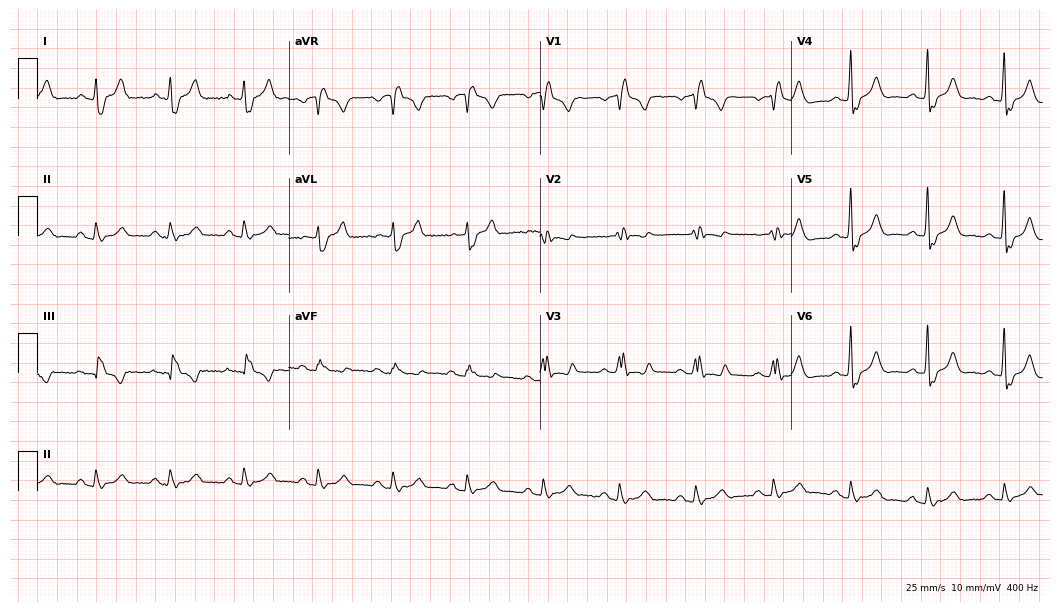
Standard 12-lead ECG recorded from a 59-year-old male (10.2-second recording at 400 Hz). The tracing shows right bundle branch block.